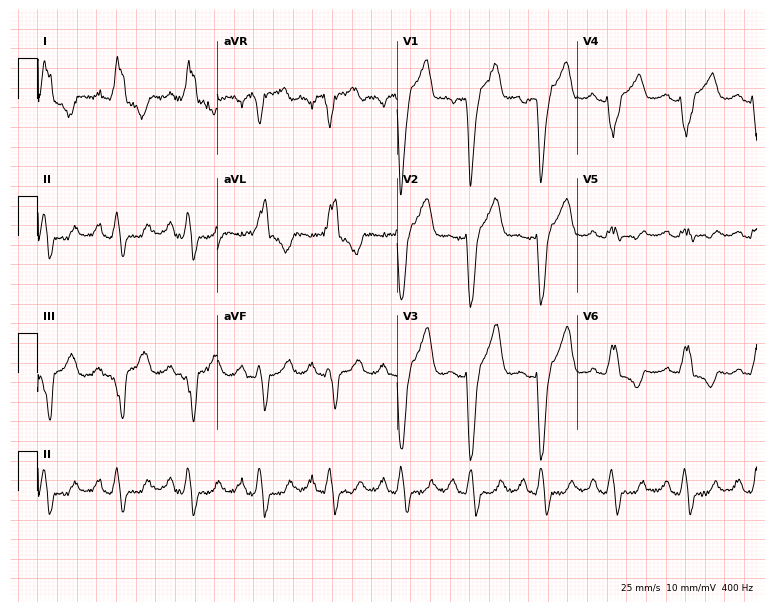
12-lead ECG from a 46-year-old woman. Shows left bundle branch block.